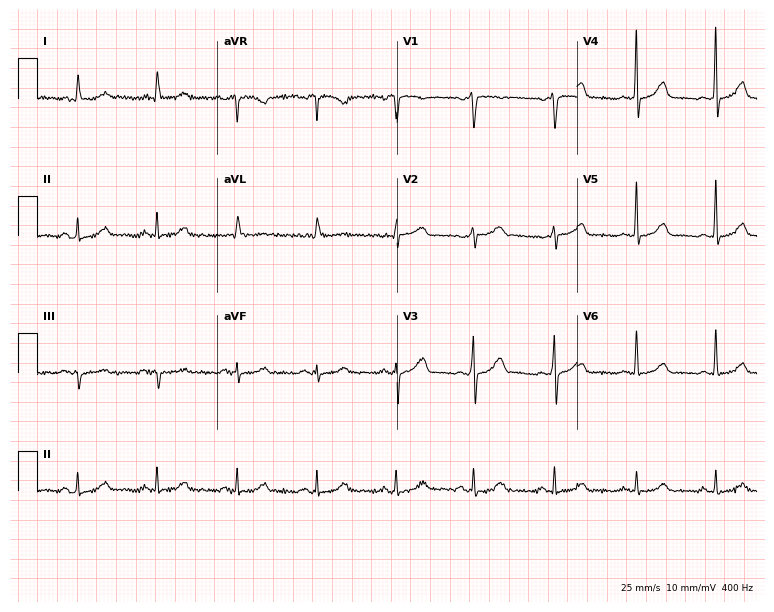
12-lead ECG (7.3-second recording at 400 Hz) from a 44-year-old female patient. Labelled as a normal ECG.